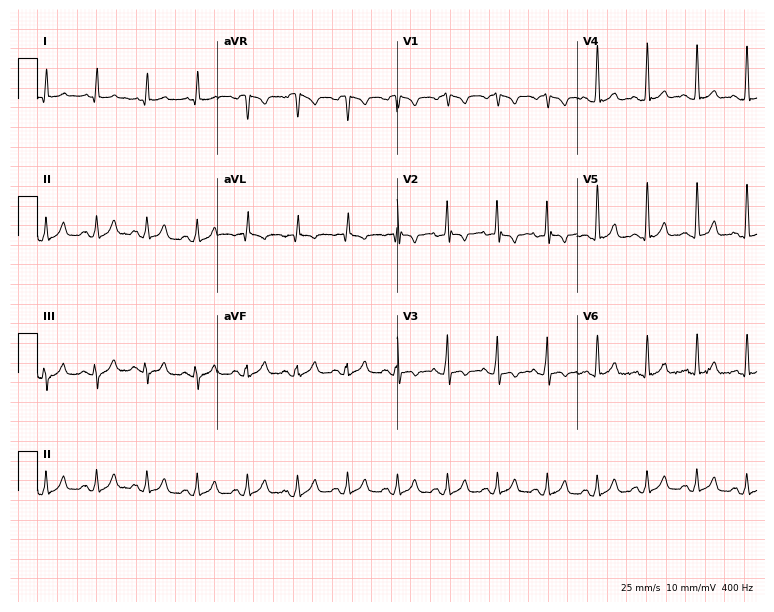
ECG (7.3-second recording at 400 Hz) — a 74-year-old male. Findings include sinus tachycardia (a sinus rate of 100 beats per minute or more).